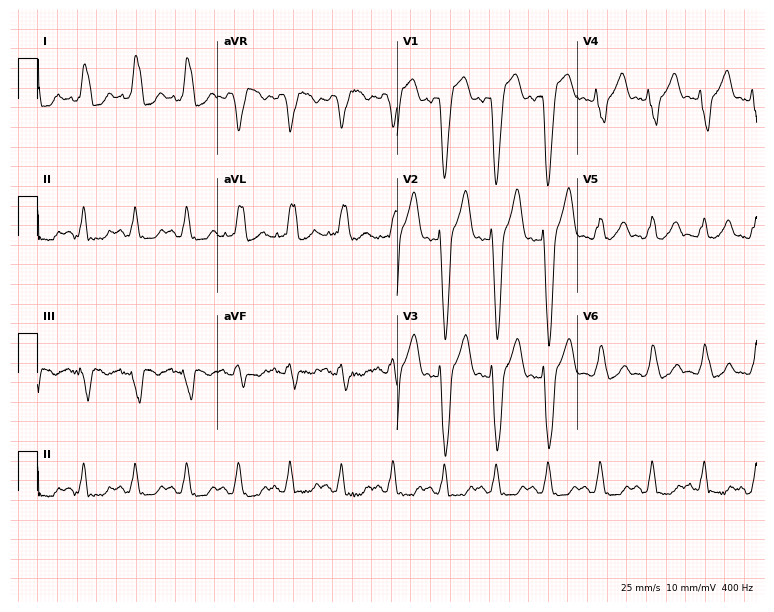
12-lead ECG from a male, 73 years old. Shows left bundle branch block (LBBB).